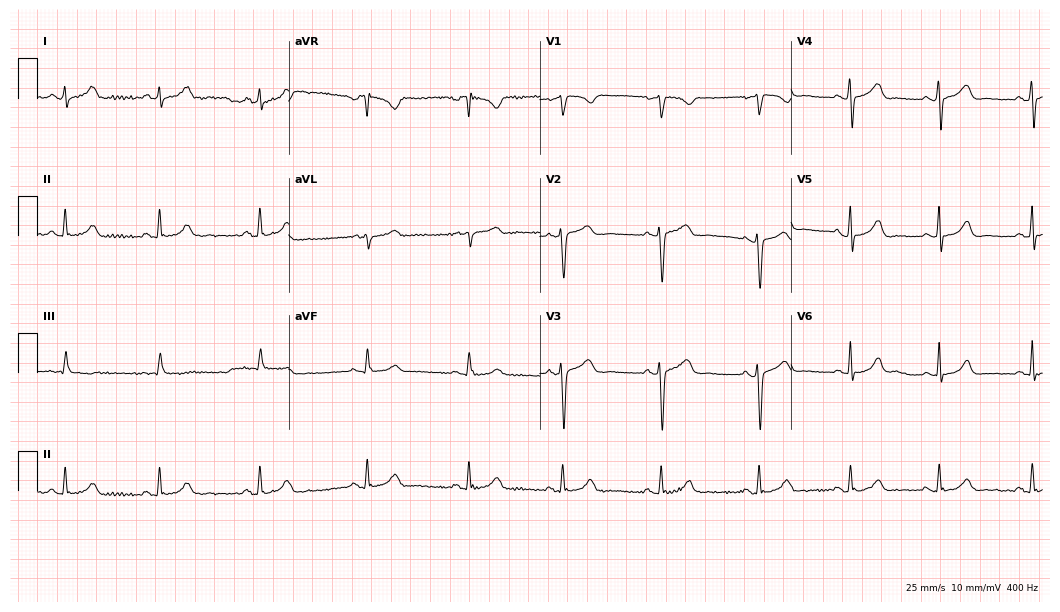
12-lead ECG (10.2-second recording at 400 Hz) from a woman, 28 years old. Screened for six findings — first-degree AV block, right bundle branch block (RBBB), left bundle branch block (LBBB), sinus bradycardia, atrial fibrillation (AF), sinus tachycardia — none is recorded.